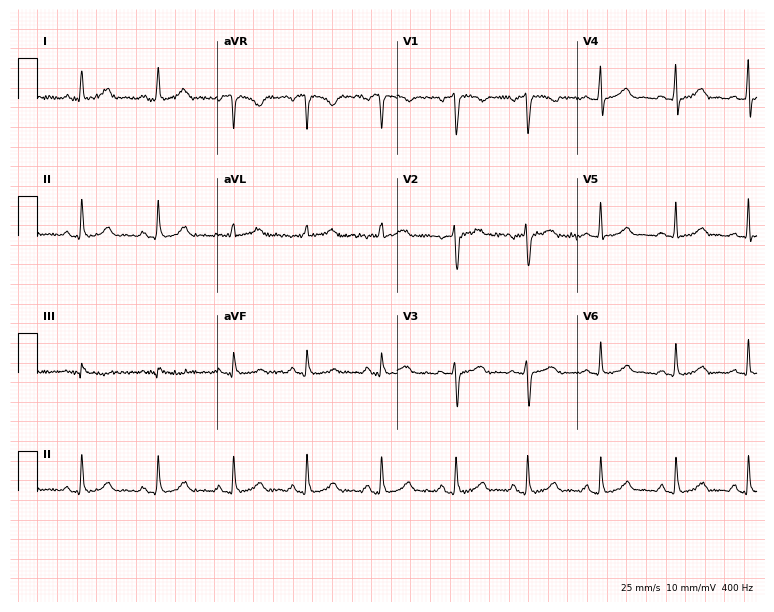
12-lead ECG from a 37-year-old female patient. Labelled as a normal ECG.